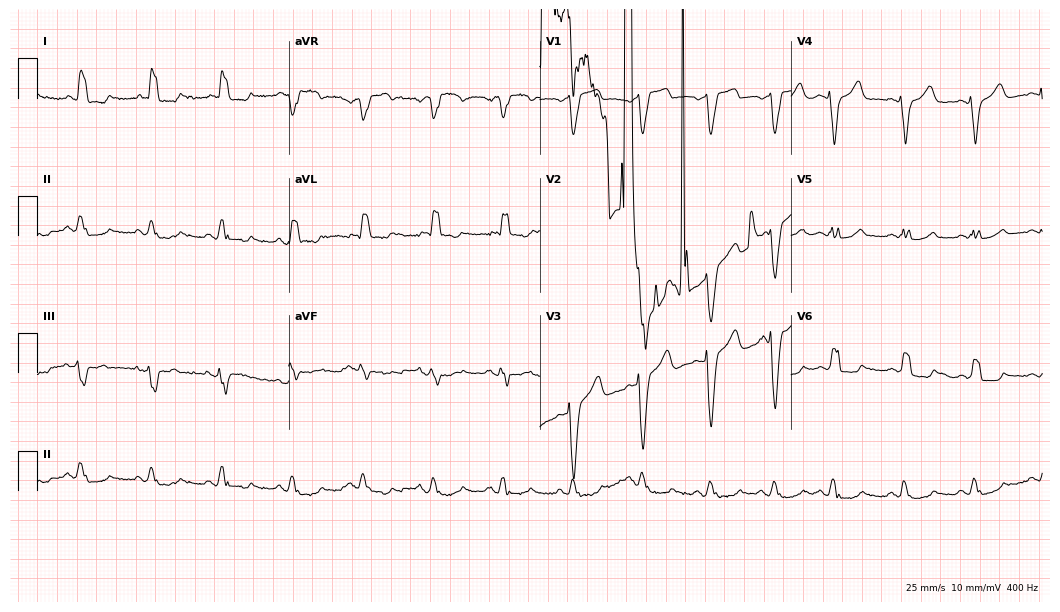
12-lead ECG from a female, 80 years old (10.2-second recording at 400 Hz). No first-degree AV block, right bundle branch block, left bundle branch block, sinus bradycardia, atrial fibrillation or sinus tachycardia recorded for this tracing.